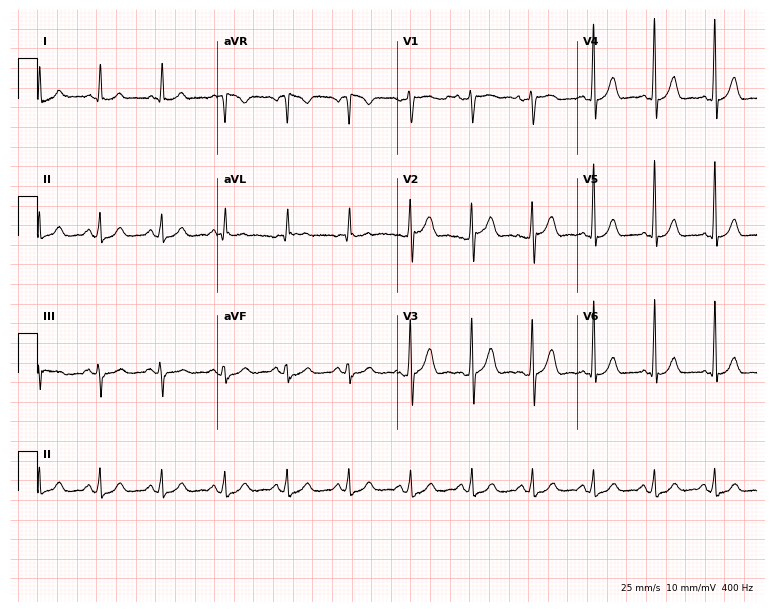
Electrocardiogram (7.3-second recording at 400 Hz), a male, 60 years old. Overall reading on record: normal ECG.